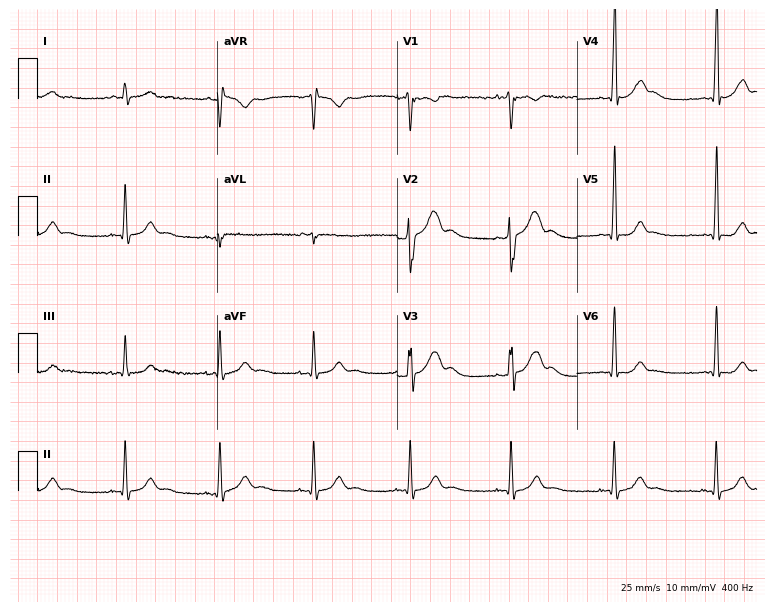
Electrocardiogram (7.3-second recording at 400 Hz), a 29-year-old man. Overall reading on record: normal ECG.